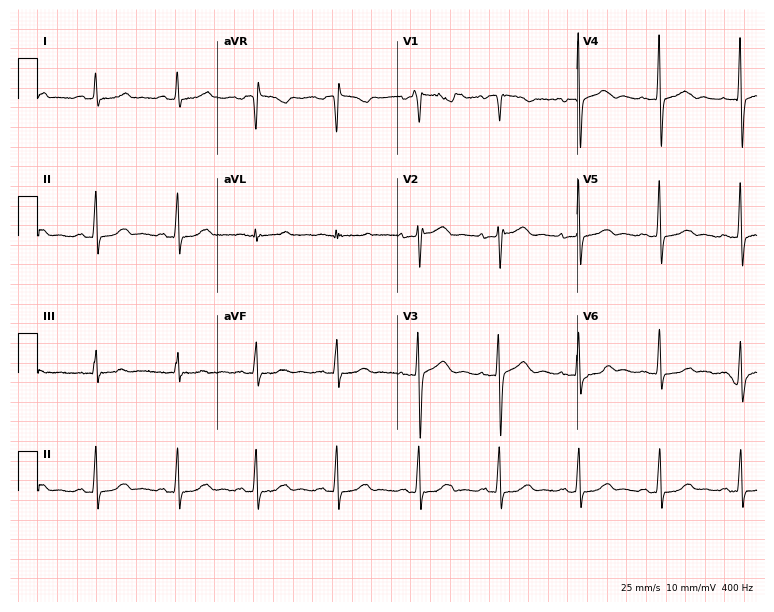
ECG (7.3-second recording at 400 Hz) — a female patient, 49 years old. Labelled as a normal ECG.